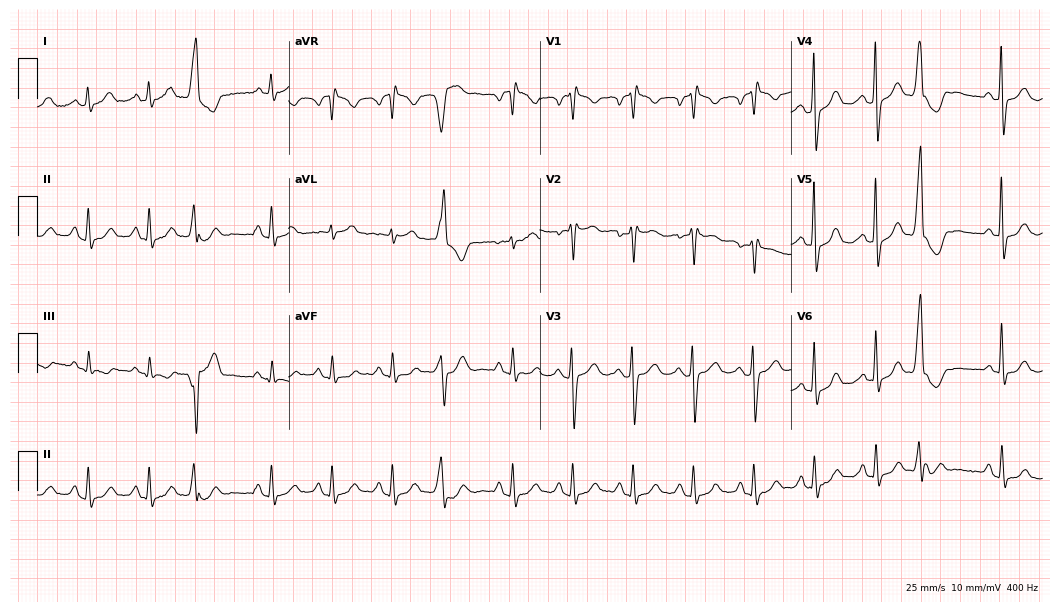
12-lead ECG from an 85-year-old female. No first-degree AV block, right bundle branch block (RBBB), left bundle branch block (LBBB), sinus bradycardia, atrial fibrillation (AF) or sinus tachycardia recorded for this tracing.